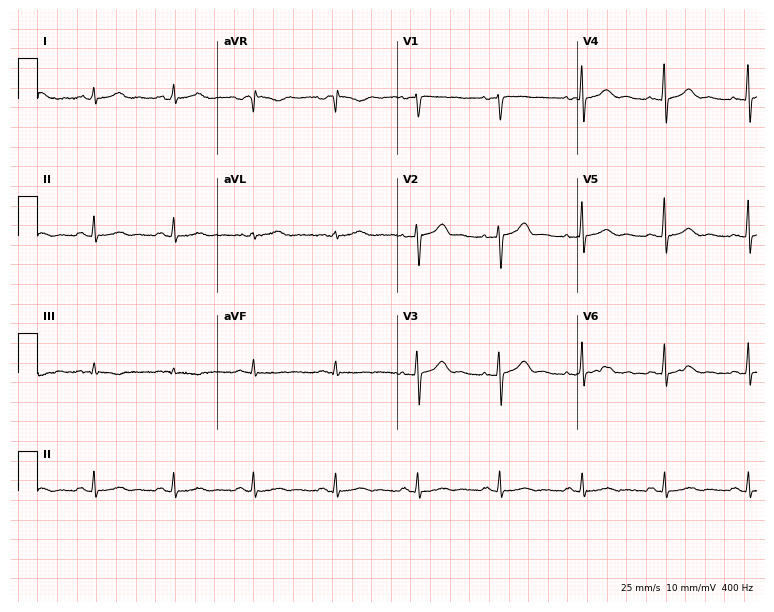
Electrocardiogram (7.3-second recording at 400 Hz), a 36-year-old woman. Of the six screened findings (first-degree AV block, right bundle branch block (RBBB), left bundle branch block (LBBB), sinus bradycardia, atrial fibrillation (AF), sinus tachycardia), none is recorded.